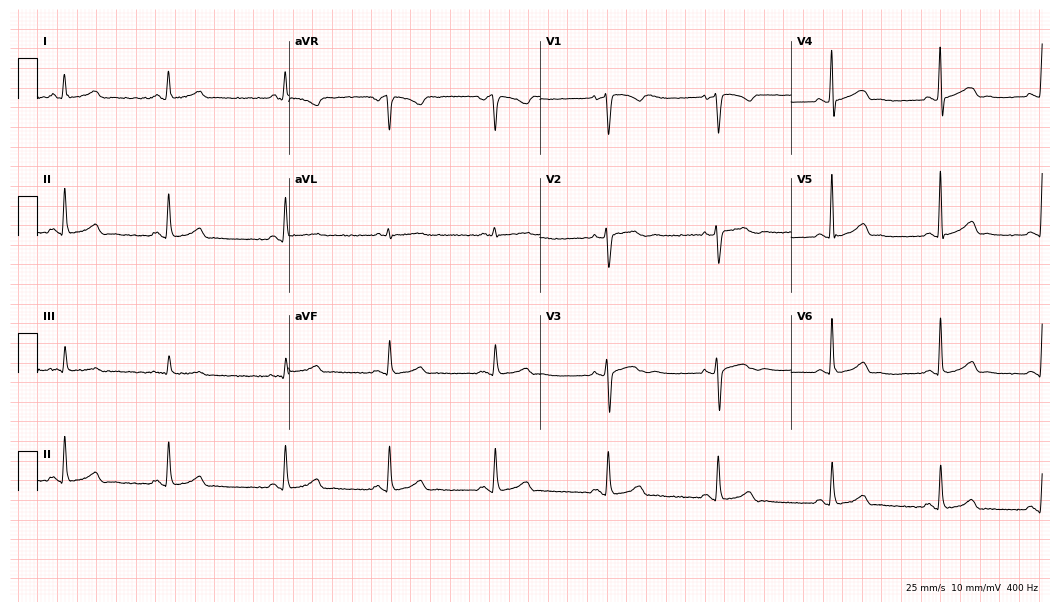
Standard 12-lead ECG recorded from a female patient, 46 years old. None of these six findings is recorded: first-degree AV block, right bundle branch block, left bundle branch block, sinus bradycardia, atrial fibrillation, sinus tachycardia. Other findings, if any, are not listed.